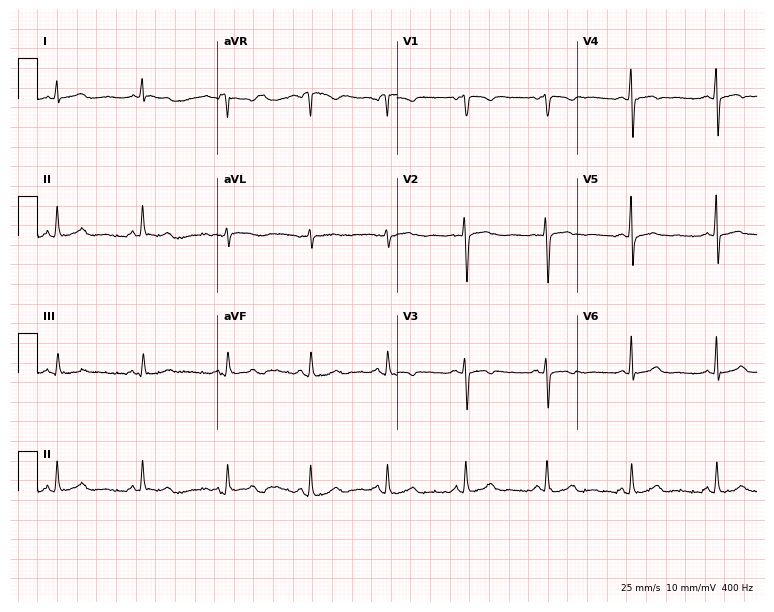
Resting 12-lead electrocardiogram. Patient: a 21-year-old woman. Read as a normal ECG.